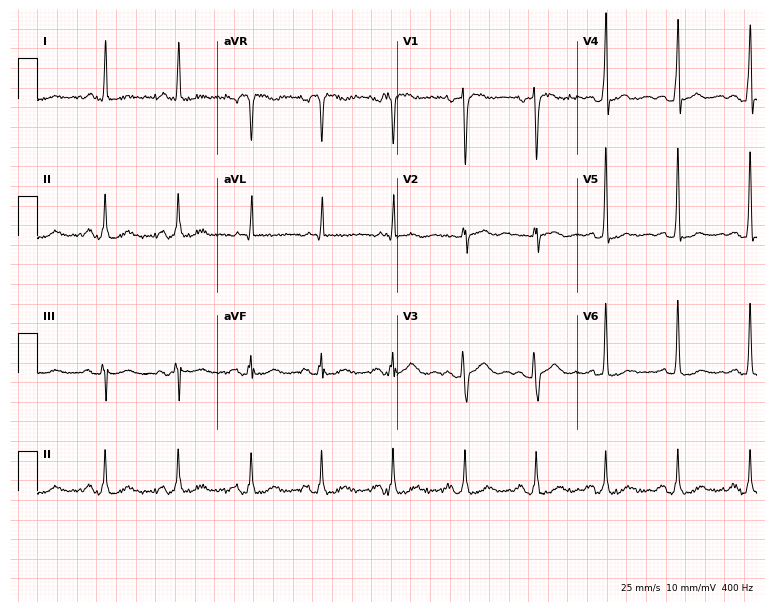
12-lead ECG (7.3-second recording at 400 Hz) from a woman, 51 years old. Screened for six findings — first-degree AV block, right bundle branch block (RBBB), left bundle branch block (LBBB), sinus bradycardia, atrial fibrillation (AF), sinus tachycardia — none is recorded.